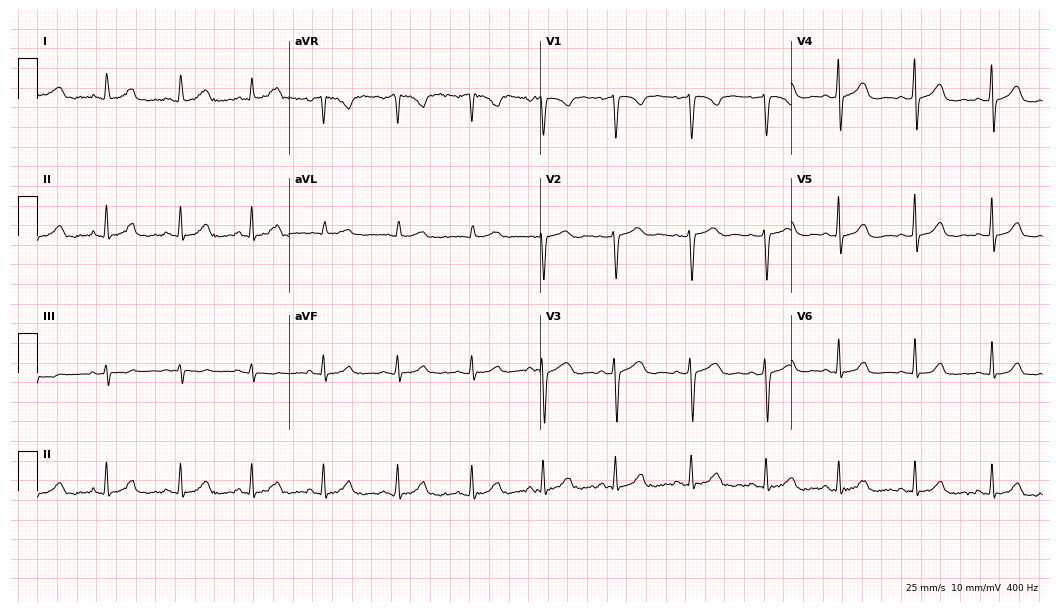
Standard 12-lead ECG recorded from a woman, 40 years old (10.2-second recording at 400 Hz). Read as a normal ECG.